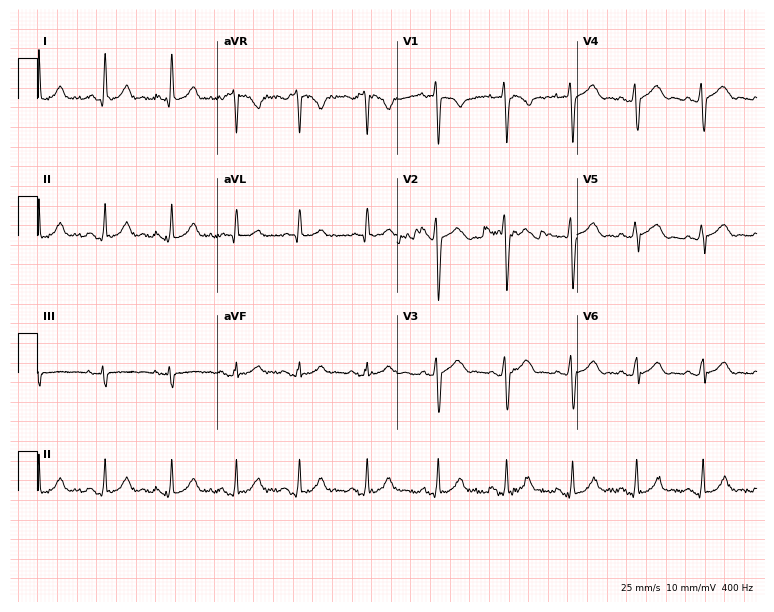
12-lead ECG from a 19-year-old female patient. Labelled as a normal ECG.